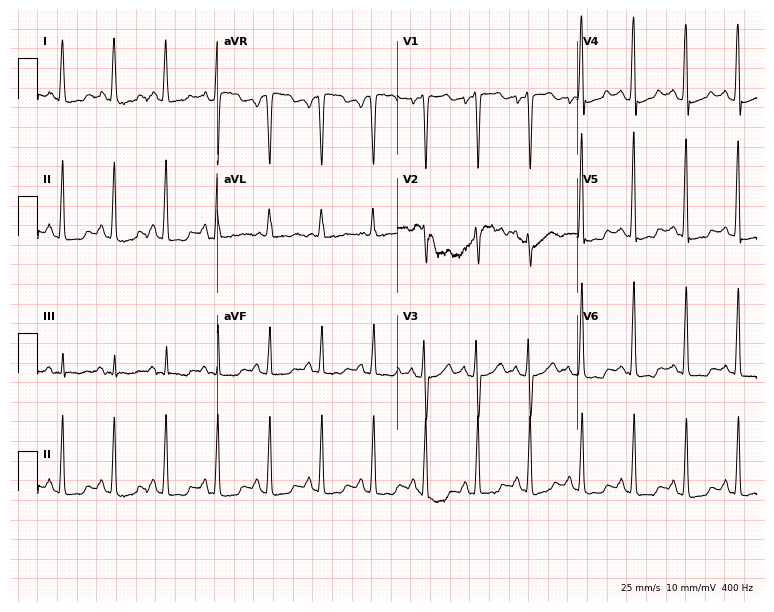
Electrocardiogram, a 55-year-old female patient. Interpretation includes sinus tachycardia (a sinus rate of 100 beats per minute or more).